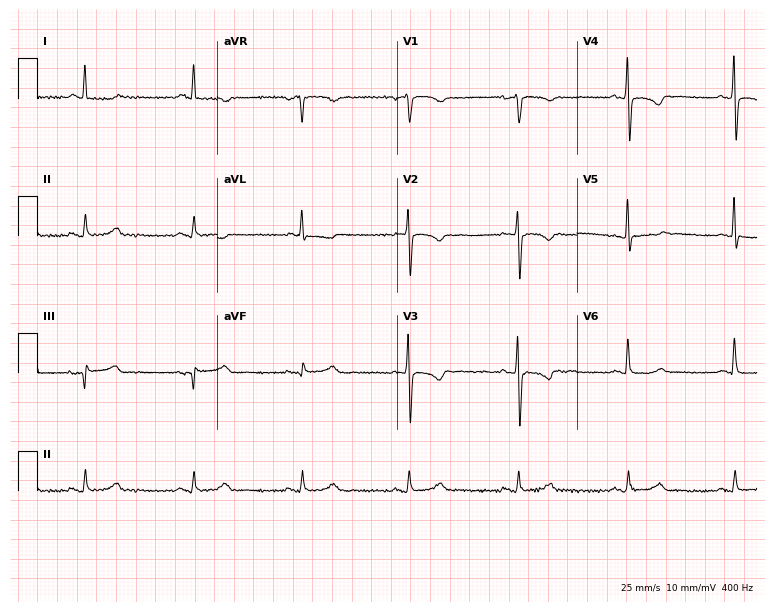
Resting 12-lead electrocardiogram (7.3-second recording at 400 Hz). Patient: a female, 72 years old. None of these six findings is recorded: first-degree AV block, right bundle branch block (RBBB), left bundle branch block (LBBB), sinus bradycardia, atrial fibrillation (AF), sinus tachycardia.